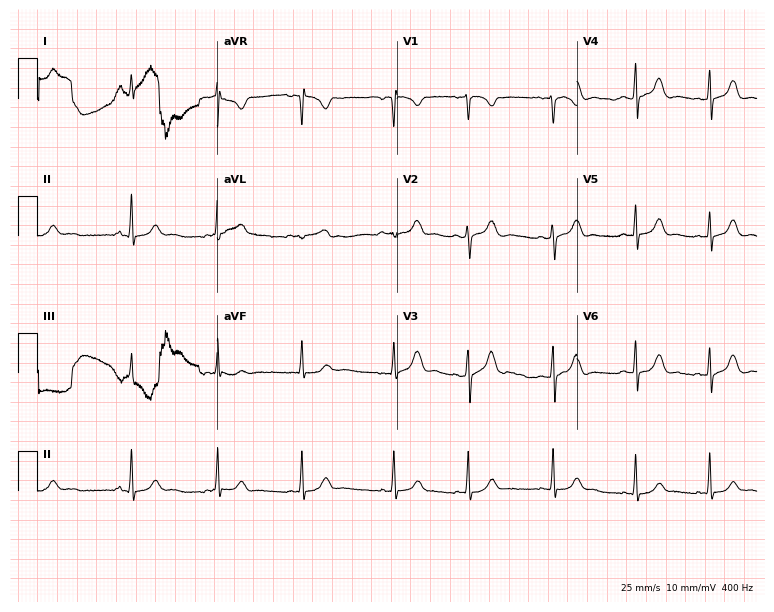
12-lead ECG from a female patient, 17 years old. Screened for six findings — first-degree AV block, right bundle branch block, left bundle branch block, sinus bradycardia, atrial fibrillation, sinus tachycardia — none is recorded.